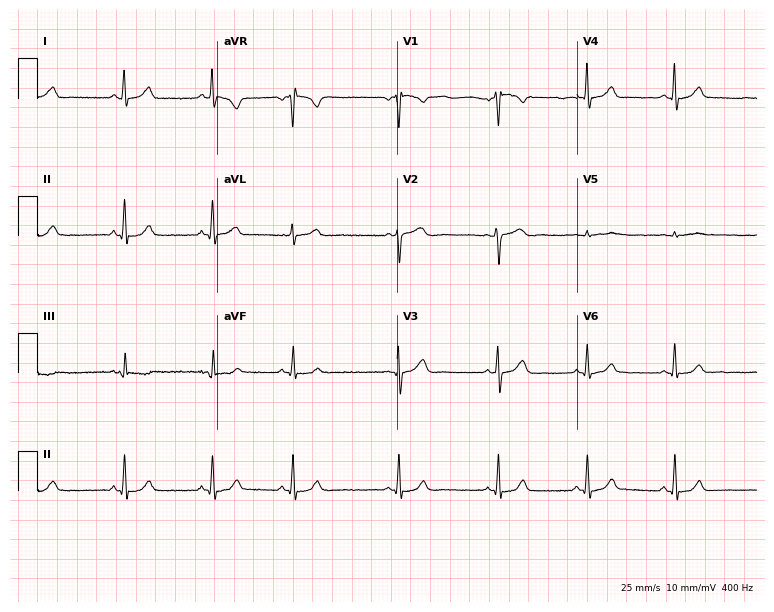
Standard 12-lead ECG recorded from a 36-year-old woman. Read as a normal ECG.